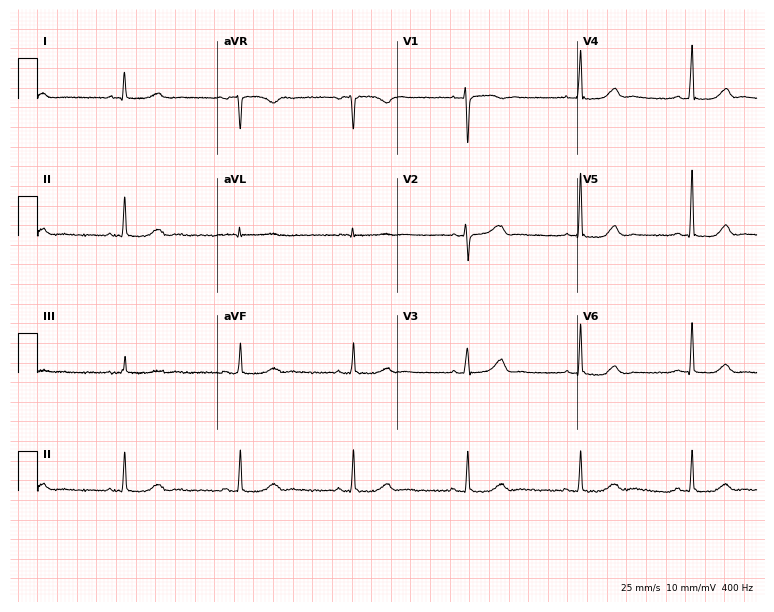
12-lead ECG from a 58-year-old woman. Screened for six findings — first-degree AV block, right bundle branch block (RBBB), left bundle branch block (LBBB), sinus bradycardia, atrial fibrillation (AF), sinus tachycardia — none is recorded.